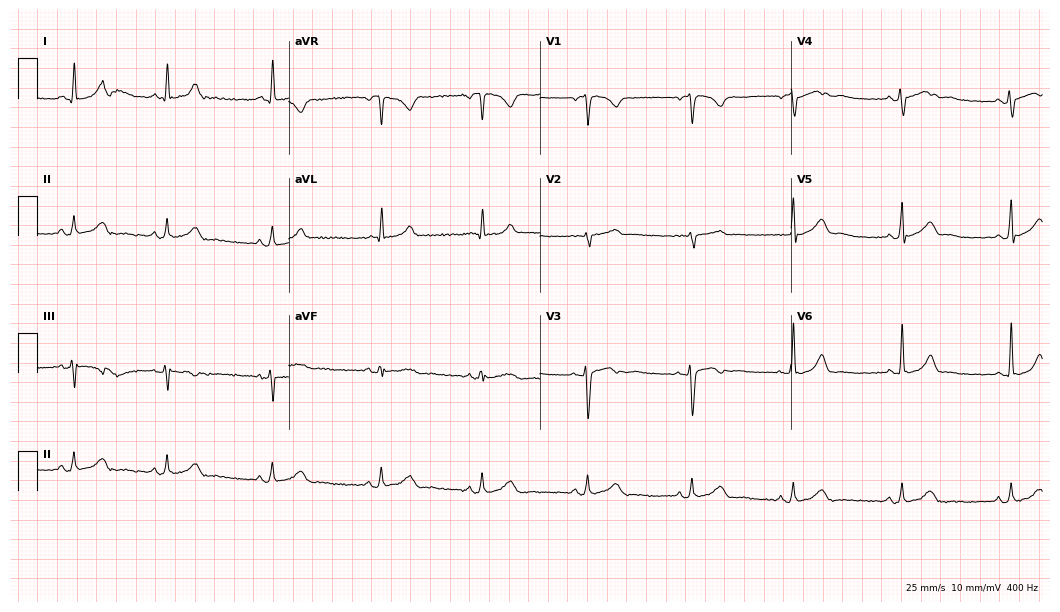
12-lead ECG (10.2-second recording at 400 Hz) from a female, 24 years old. Screened for six findings — first-degree AV block, right bundle branch block (RBBB), left bundle branch block (LBBB), sinus bradycardia, atrial fibrillation (AF), sinus tachycardia — none is recorded.